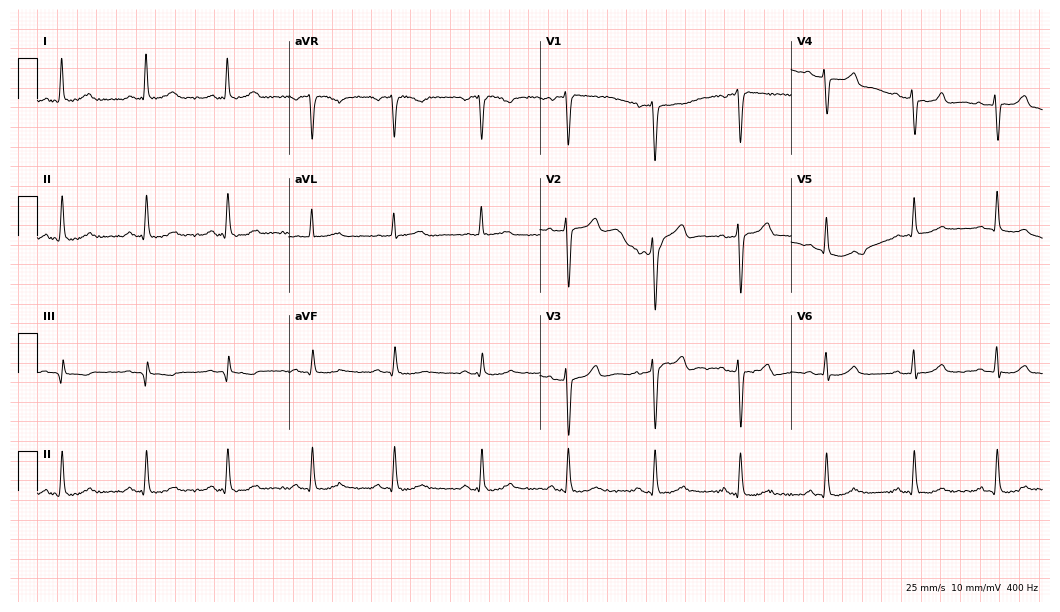
ECG (10.2-second recording at 400 Hz) — a female patient, 54 years old. Labelled as a normal ECG.